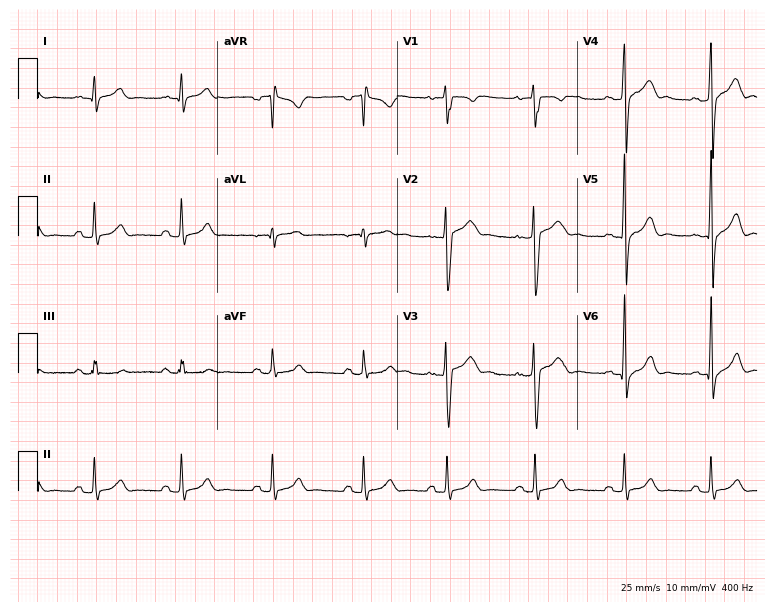
Electrocardiogram, a 27-year-old male patient. Of the six screened findings (first-degree AV block, right bundle branch block (RBBB), left bundle branch block (LBBB), sinus bradycardia, atrial fibrillation (AF), sinus tachycardia), none is recorded. Other findings, if any, are not listed.